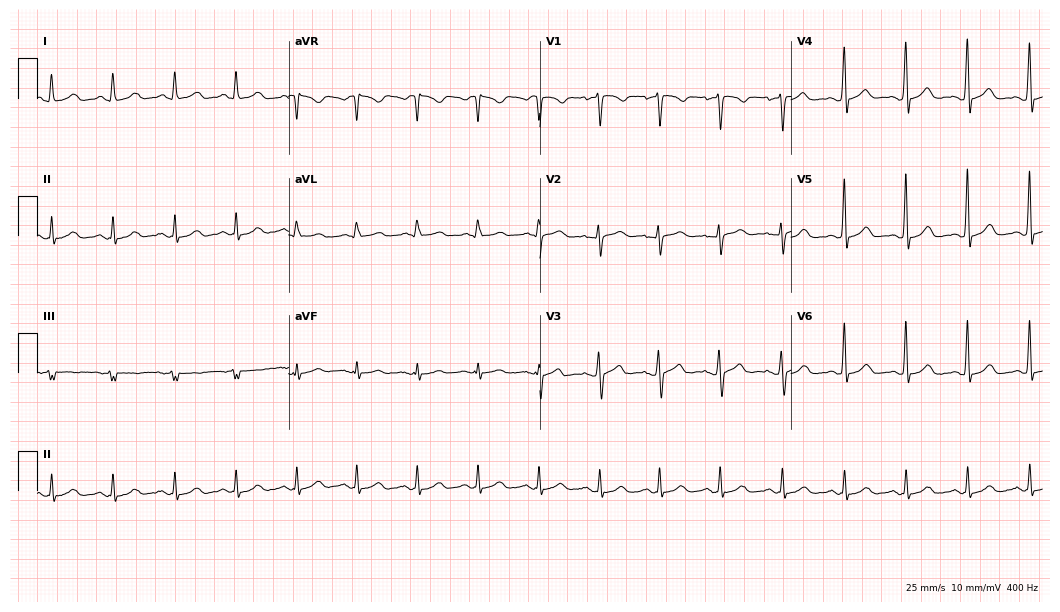
Electrocardiogram, a woman, 53 years old. Overall reading on record: normal ECG.